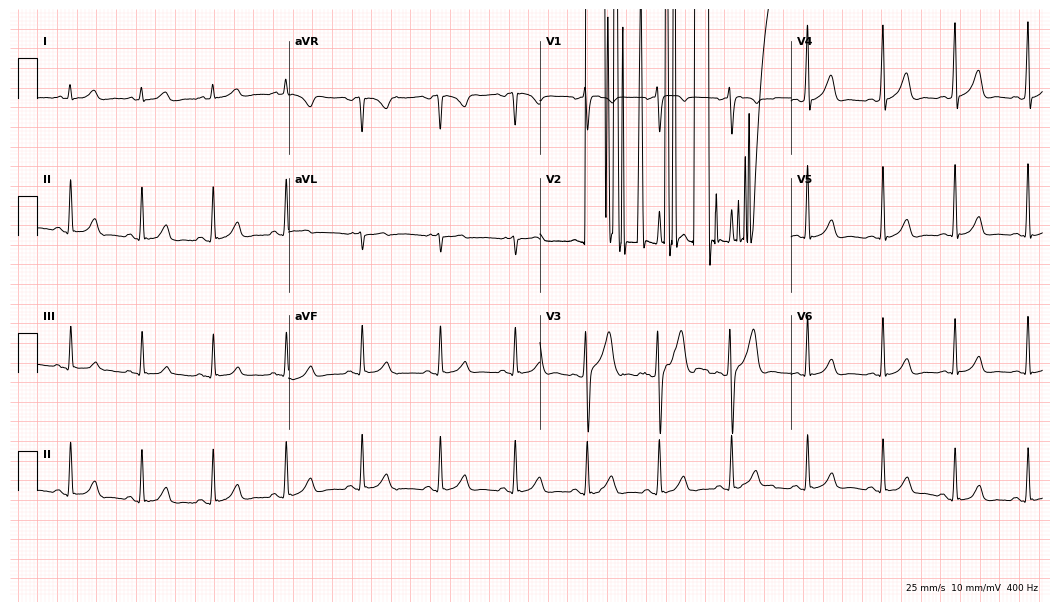
Standard 12-lead ECG recorded from a 33-year-old male patient. None of these six findings is recorded: first-degree AV block, right bundle branch block (RBBB), left bundle branch block (LBBB), sinus bradycardia, atrial fibrillation (AF), sinus tachycardia. Only these six findings were labelled.